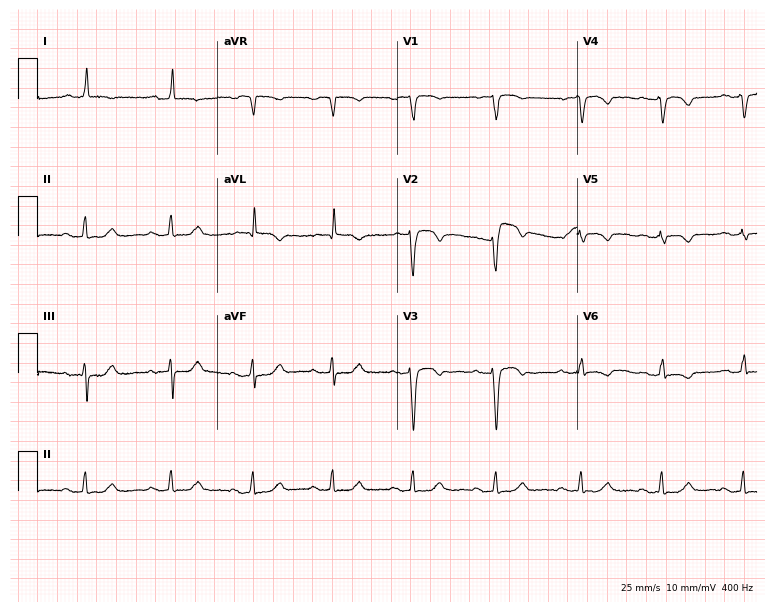
12-lead ECG (7.3-second recording at 400 Hz) from a female patient, 64 years old. Screened for six findings — first-degree AV block, right bundle branch block, left bundle branch block, sinus bradycardia, atrial fibrillation, sinus tachycardia — none is recorded.